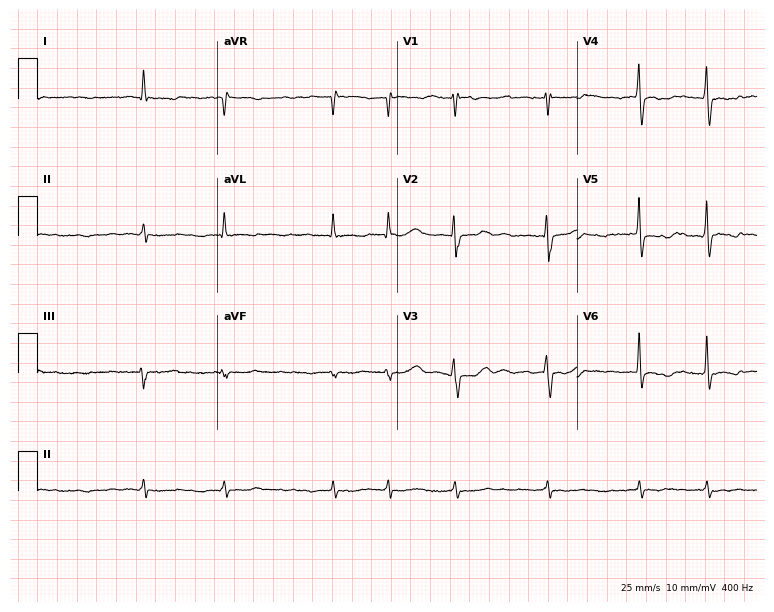
Standard 12-lead ECG recorded from a 71-year-old male patient (7.3-second recording at 400 Hz). The tracing shows atrial fibrillation (AF).